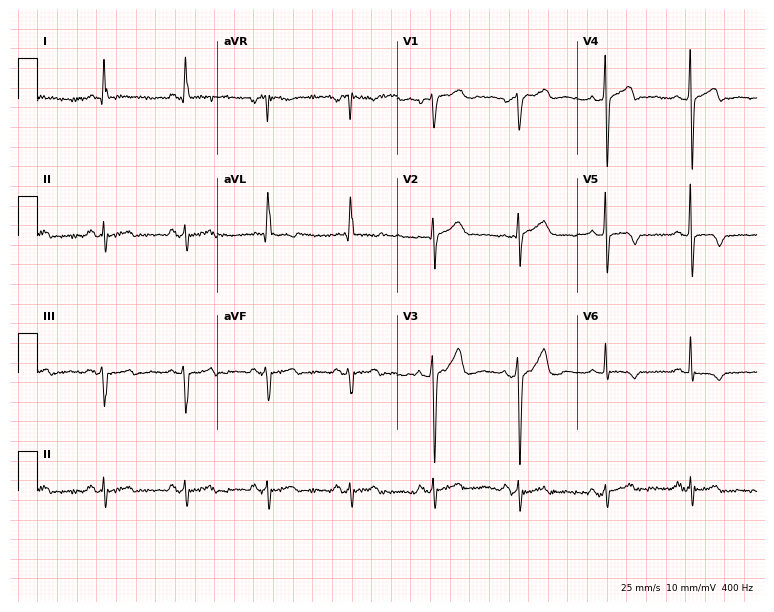
ECG (7.3-second recording at 400 Hz) — a 70-year-old male patient. Screened for six findings — first-degree AV block, right bundle branch block, left bundle branch block, sinus bradycardia, atrial fibrillation, sinus tachycardia — none is recorded.